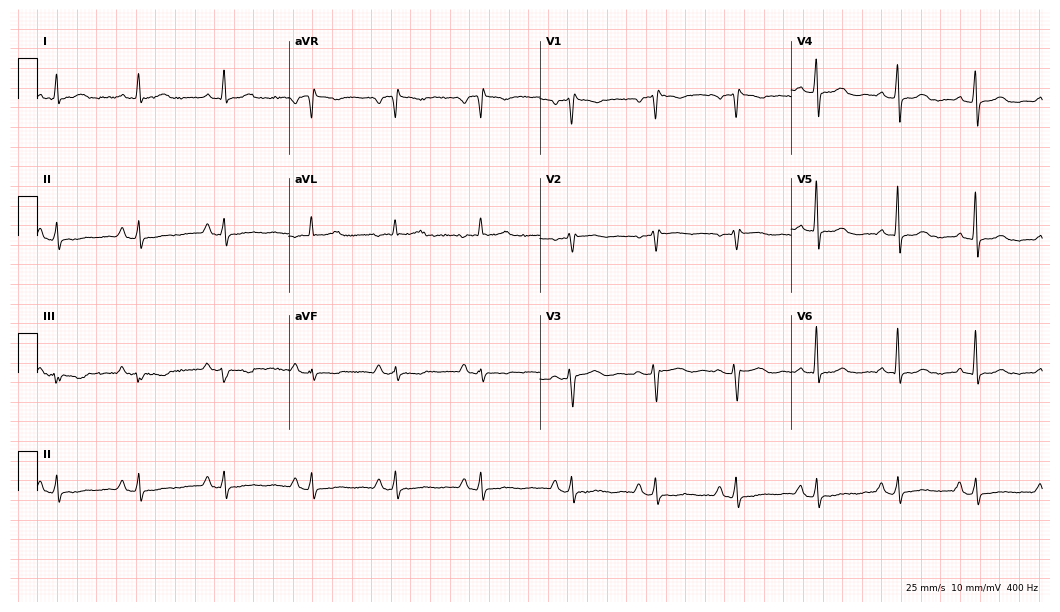
Electrocardiogram (10.2-second recording at 400 Hz), a female patient, 54 years old. Of the six screened findings (first-degree AV block, right bundle branch block, left bundle branch block, sinus bradycardia, atrial fibrillation, sinus tachycardia), none is recorded.